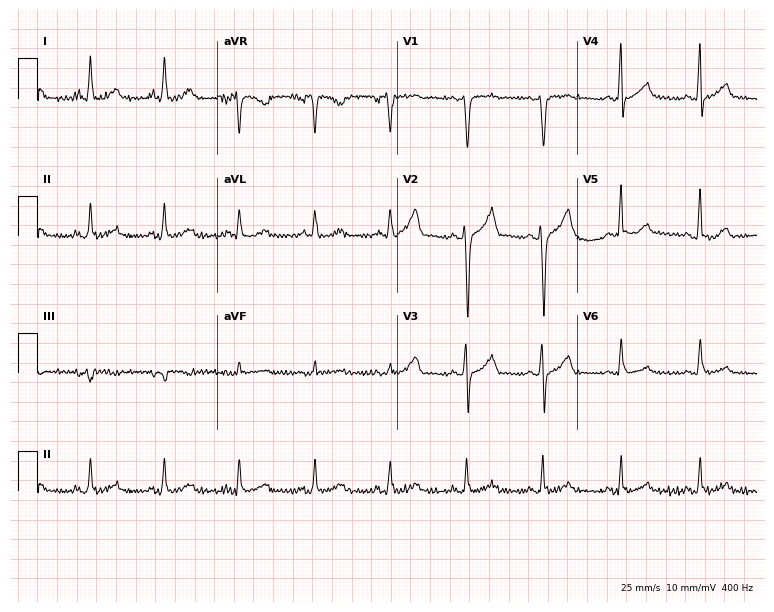
ECG (7.3-second recording at 400 Hz) — a man, 57 years old. Screened for six findings — first-degree AV block, right bundle branch block, left bundle branch block, sinus bradycardia, atrial fibrillation, sinus tachycardia — none is recorded. Findings outside these six are not listed.